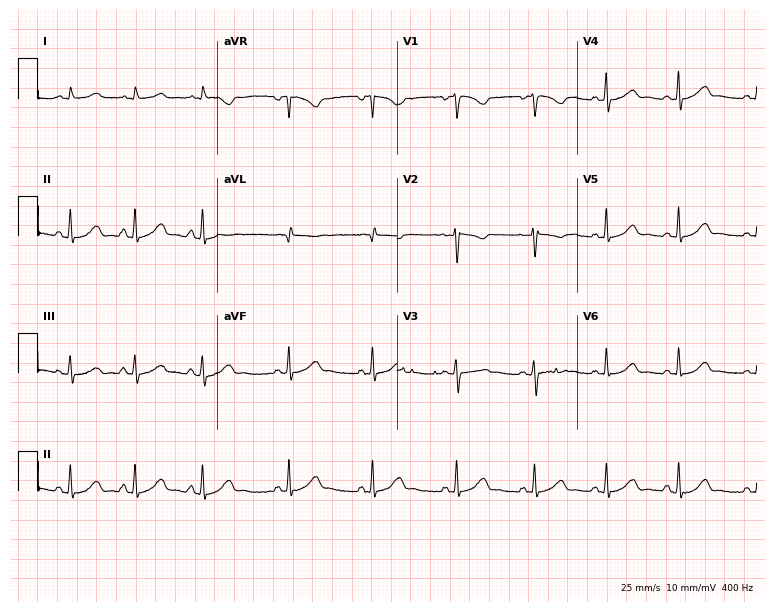
Resting 12-lead electrocardiogram (7.3-second recording at 400 Hz). Patient: a 27-year-old female. Read as a normal ECG.